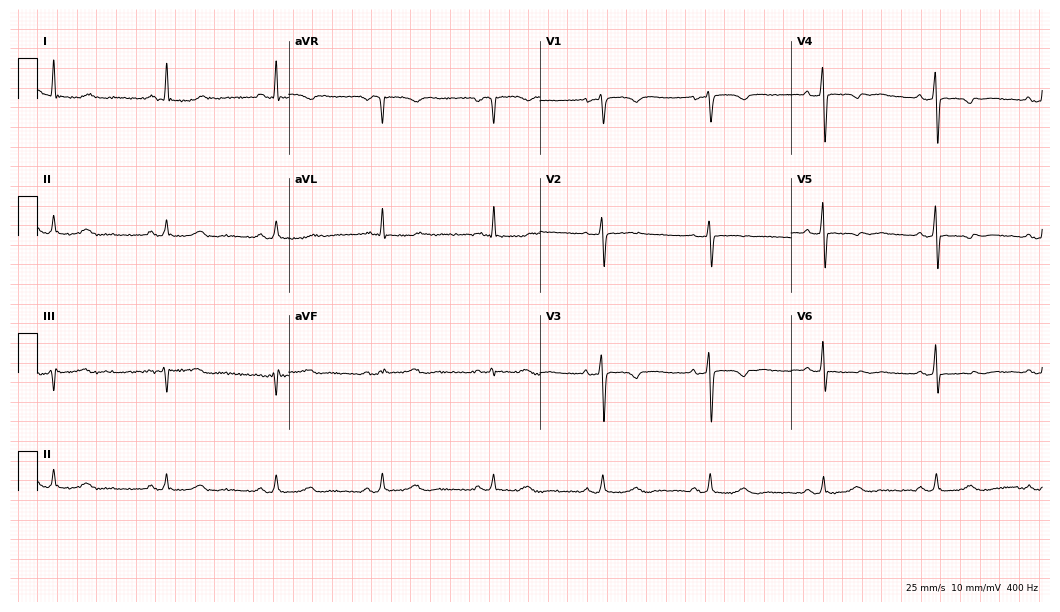
Resting 12-lead electrocardiogram. Patient: a 60-year-old woman. None of these six findings is recorded: first-degree AV block, right bundle branch block, left bundle branch block, sinus bradycardia, atrial fibrillation, sinus tachycardia. Findings outside these six are not listed.